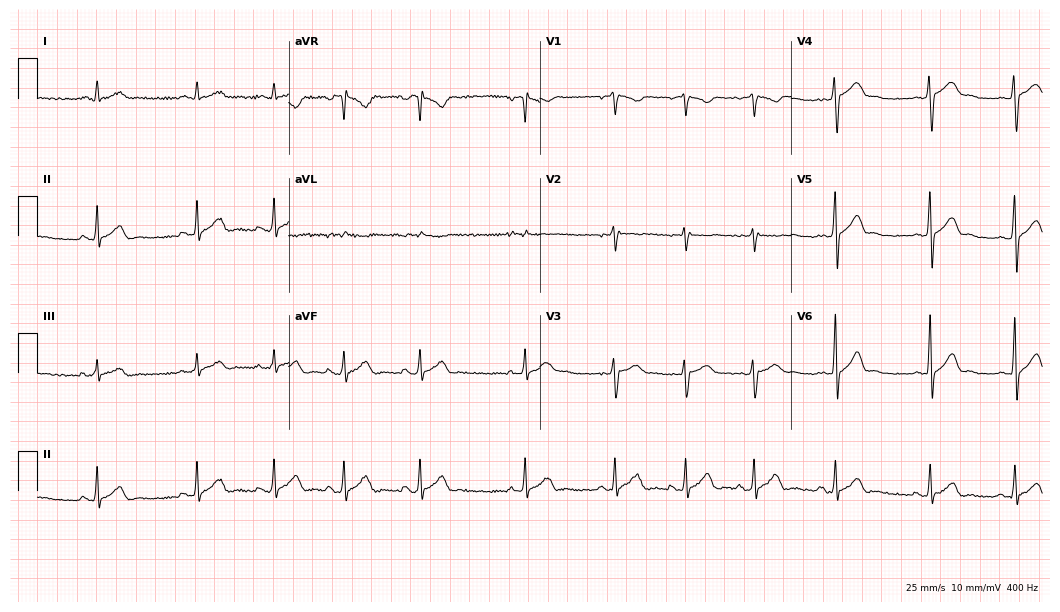
Standard 12-lead ECG recorded from a man, 17 years old. Read as a normal ECG.